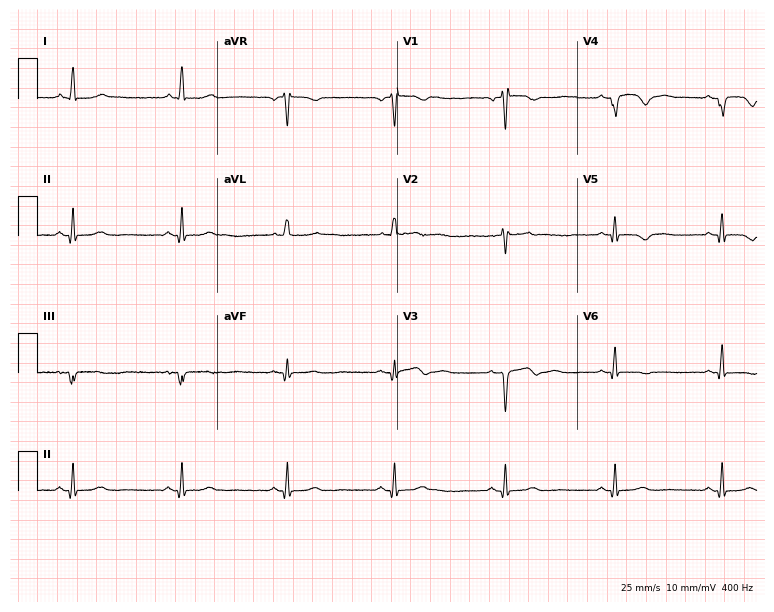
Electrocardiogram, a female, 61 years old. Of the six screened findings (first-degree AV block, right bundle branch block, left bundle branch block, sinus bradycardia, atrial fibrillation, sinus tachycardia), none is recorded.